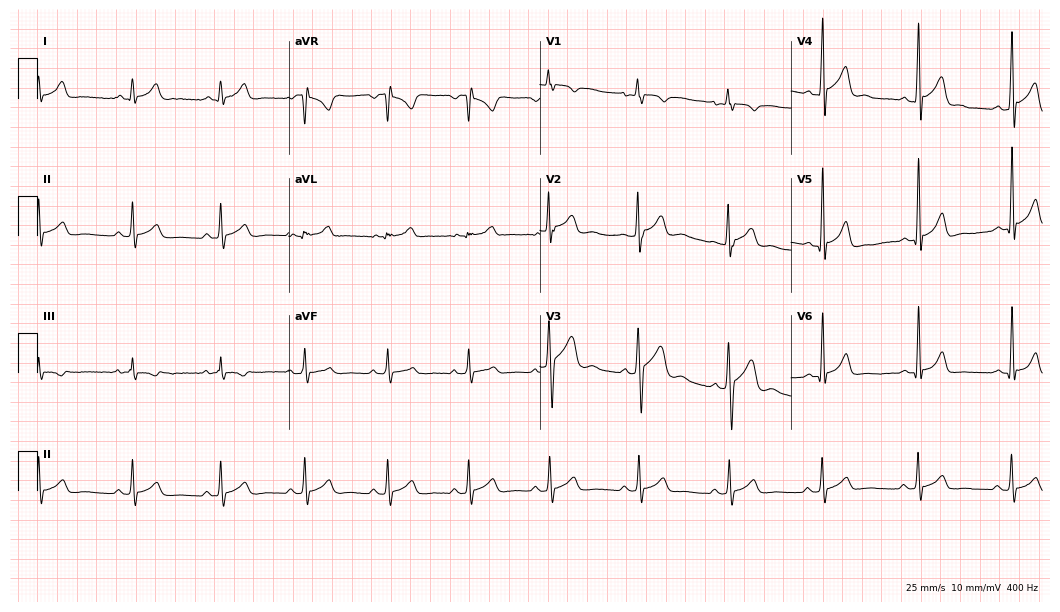
Electrocardiogram (10.2-second recording at 400 Hz), a male patient, 18 years old. Of the six screened findings (first-degree AV block, right bundle branch block (RBBB), left bundle branch block (LBBB), sinus bradycardia, atrial fibrillation (AF), sinus tachycardia), none is recorded. Only these six findings were labelled.